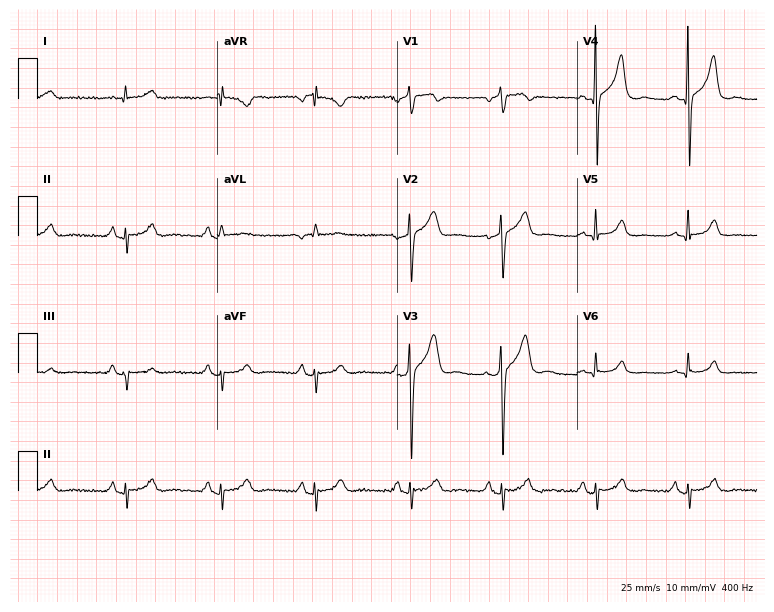
12-lead ECG from a male, 68 years old. Screened for six findings — first-degree AV block, right bundle branch block, left bundle branch block, sinus bradycardia, atrial fibrillation, sinus tachycardia — none is recorded.